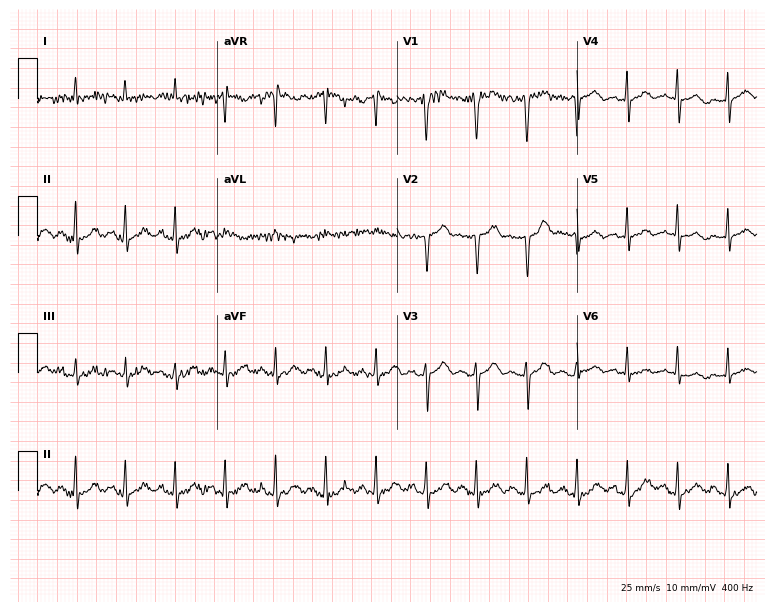
12-lead ECG (7.3-second recording at 400 Hz) from a female patient, 58 years old. Screened for six findings — first-degree AV block, right bundle branch block (RBBB), left bundle branch block (LBBB), sinus bradycardia, atrial fibrillation (AF), sinus tachycardia — none is recorded.